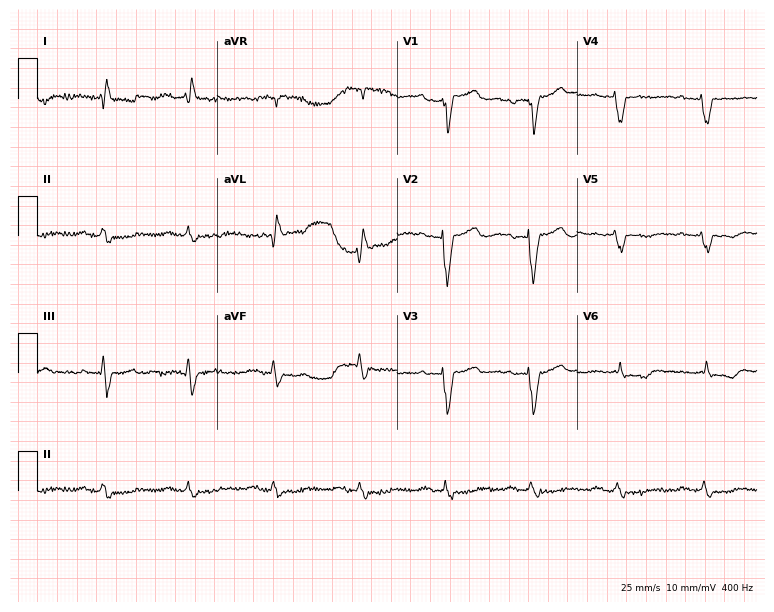
Resting 12-lead electrocardiogram (7.3-second recording at 400 Hz). Patient: a 68-year-old man. None of these six findings is recorded: first-degree AV block, right bundle branch block (RBBB), left bundle branch block (LBBB), sinus bradycardia, atrial fibrillation (AF), sinus tachycardia. Only these six findings were labelled.